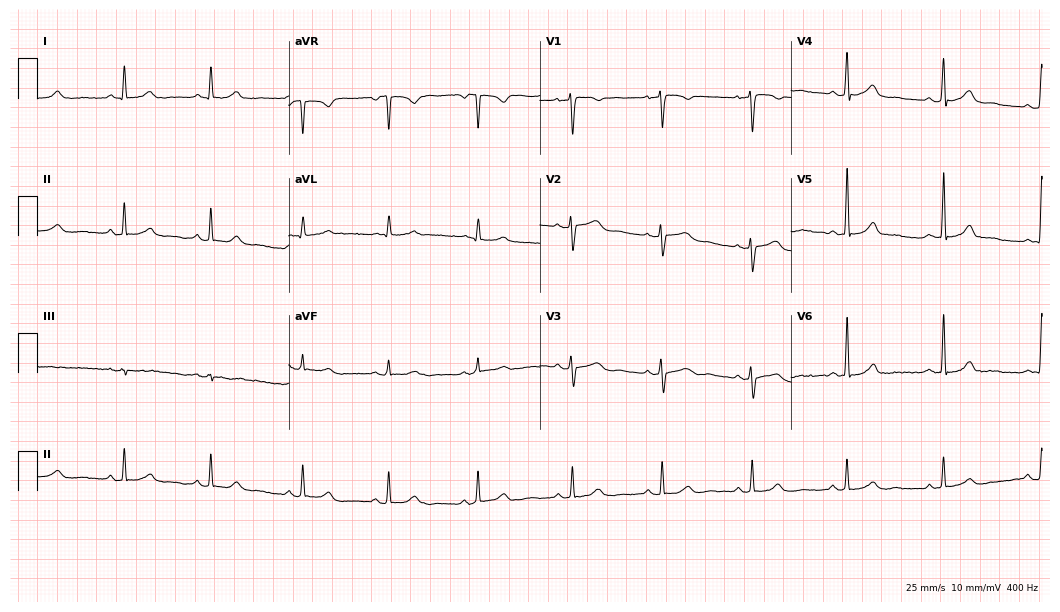
Resting 12-lead electrocardiogram. Patient: a female, 51 years old. Read as a normal ECG.